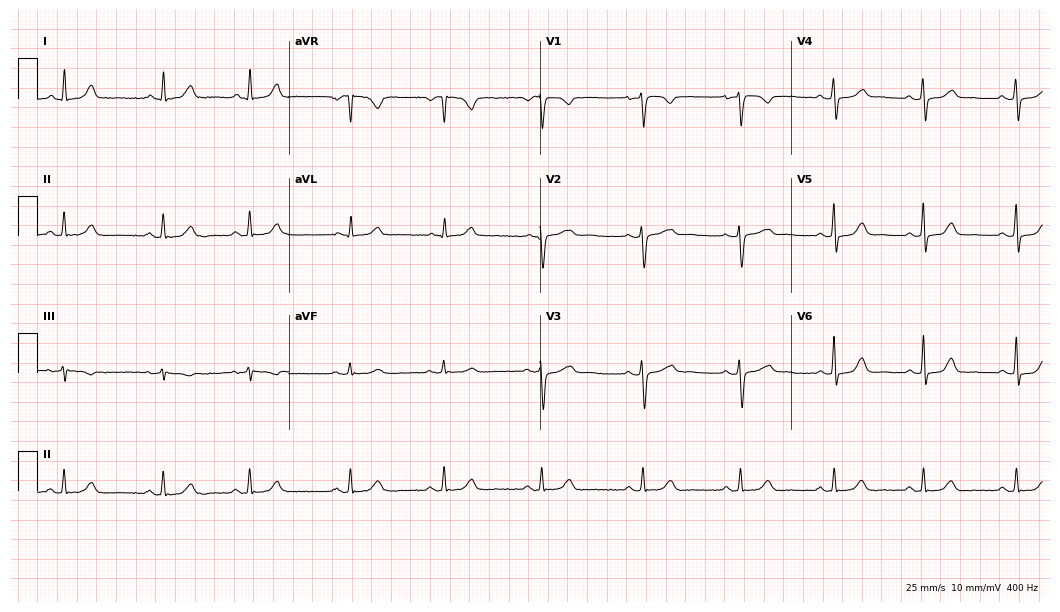
12-lead ECG from a 44-year-old female patient. Recorded interpretation: within normal limits.